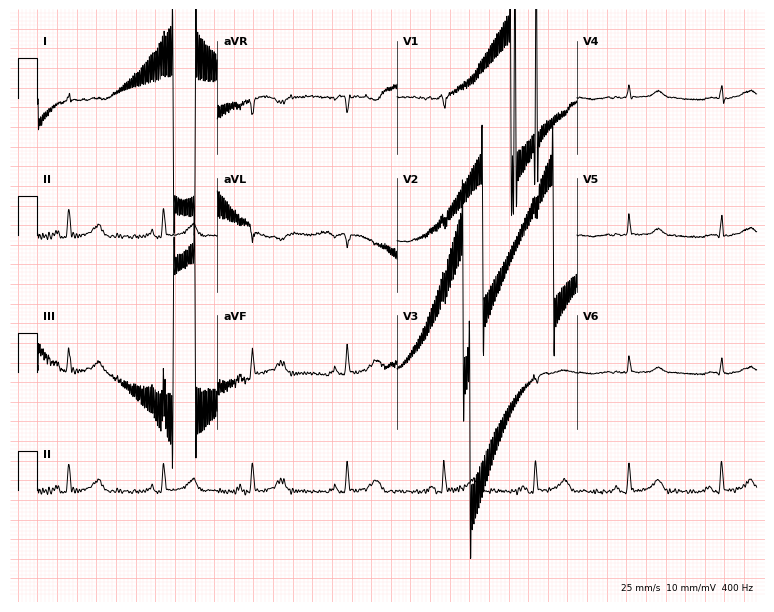
12-lead ECG from a female, 26 years old. No first-degree AV block, right bundle branch block (RBBB), left bundle branch block (LBBB), sinus bradycardia, atrial fibrillation (AF) or sinus tachycardia recorded for this tracing.